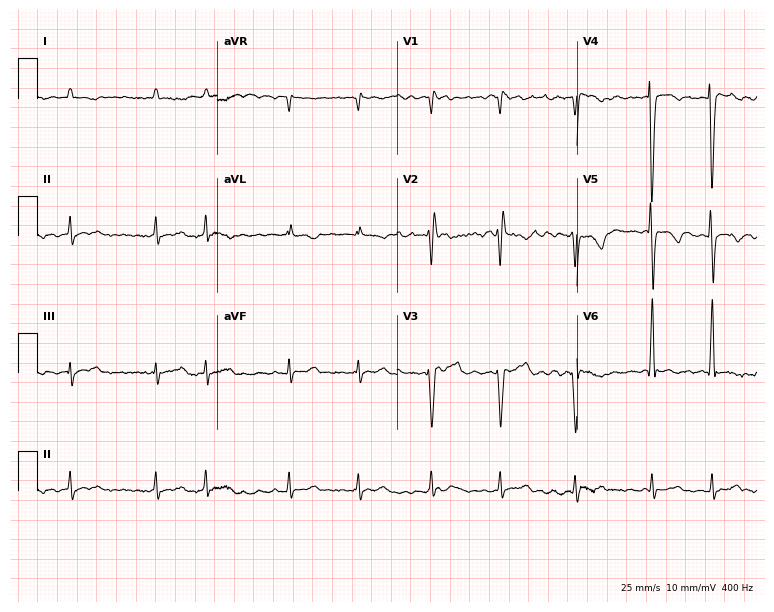
12-lead ECG from a 38-year-old male. Findings include atrial fibrillation.